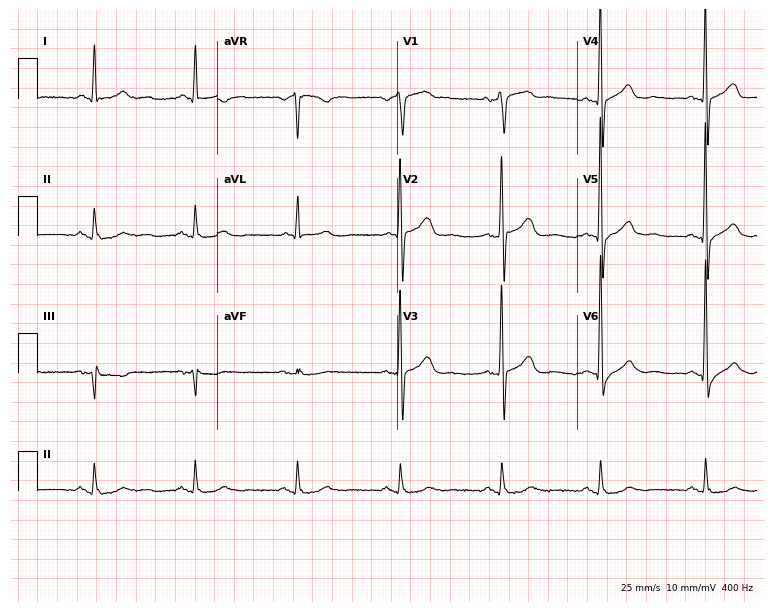
Resting 12-lead electrocardiogram. Patient: a male, 72 years old. Read as a normal ECG.